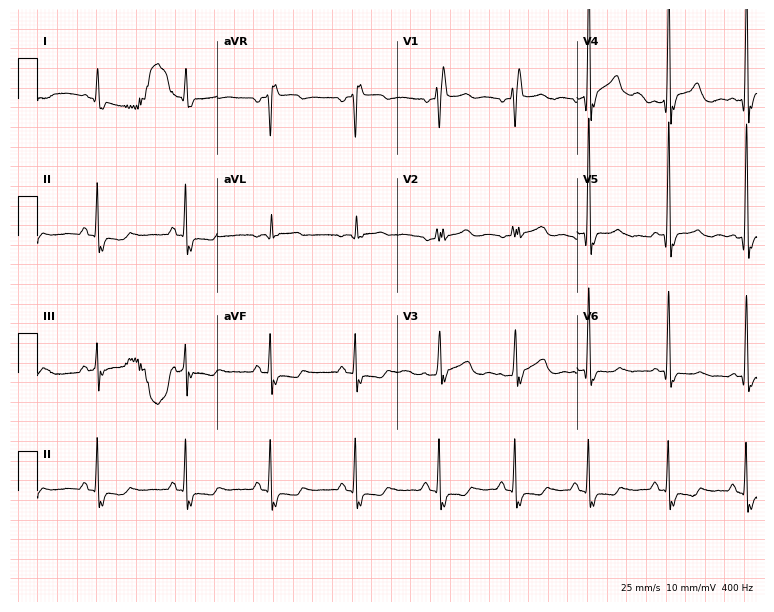
12-lead ECG from a 68-year-old man. Findings include right bundle branch block.